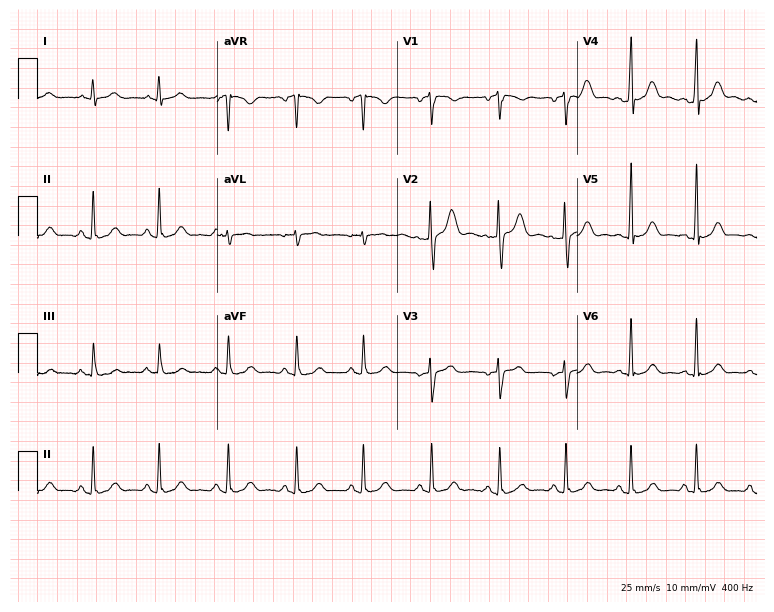
Electrocardiogram, a female patient, 32 years old. Overall reading on record: normal ECG.